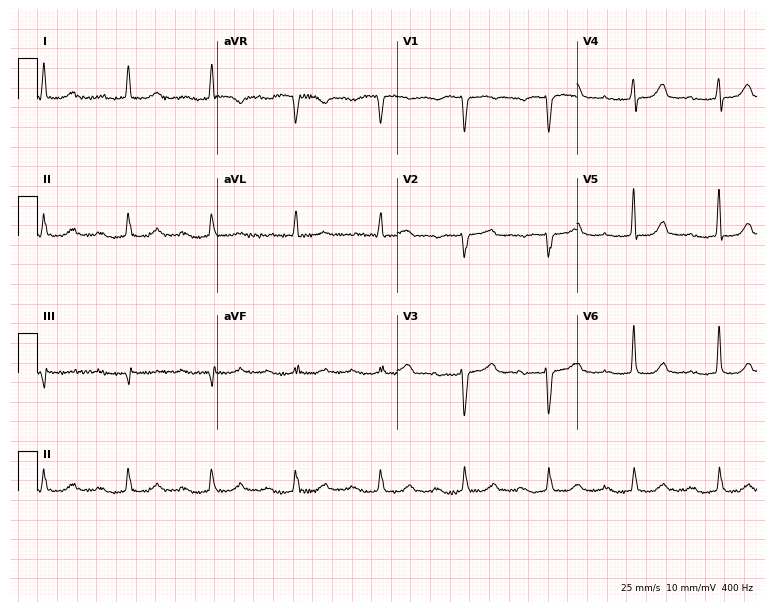
Resting 12-lead electrocardiogram (7.3-second recording at 400 Hz). Patient: a female, 76 years old. The tracing shows first-degree AV block.